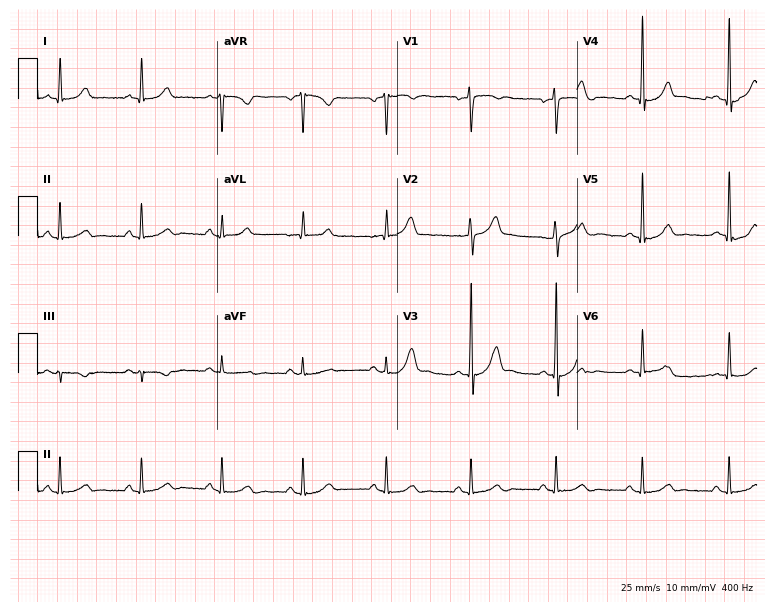
Standard 12-lead ECG recorded from a male patient, 38 years old (7.3-second recording at 400 Hz). Read as a normal ECG.